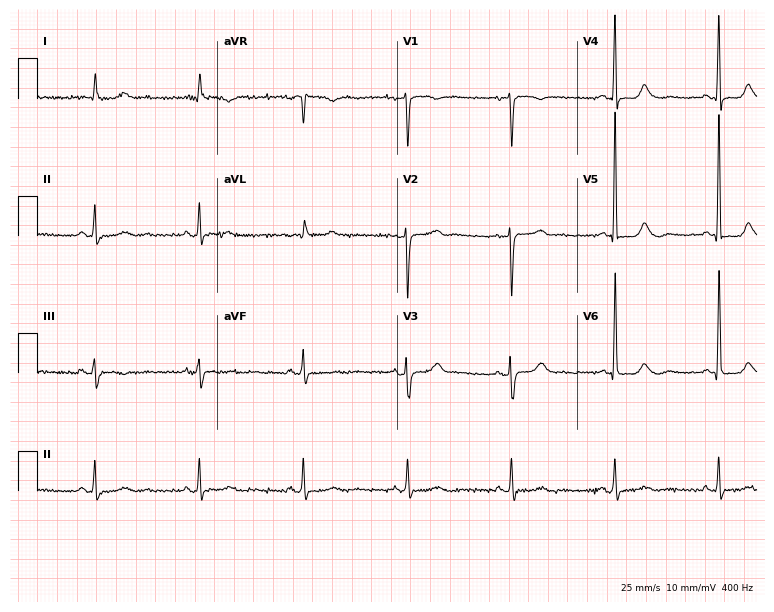
Resting 12-lead electrocardiogram. Patient: a 62-year-old female. None of these six findings is recorded: first-degree AV block, right bundle branch block, left bundle branch block, sinus bradycardia, atrial fibrillation, sinus tachycardia. Other findings, if any, are not listed.